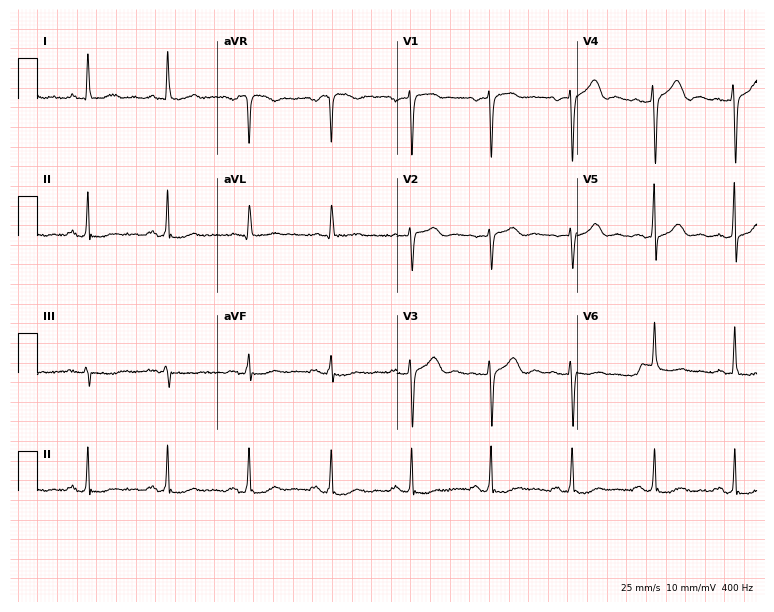
12-lead ECG from a 46-year-old female. Screened for six findings — first-degree AV block, right bundle branch block (RBBB), left bundle branch block (LBBB), sinus bradycardia, atrial fibrillation (AF), sinus tachycardia — none is recorded. Findings outside these six are not listed.